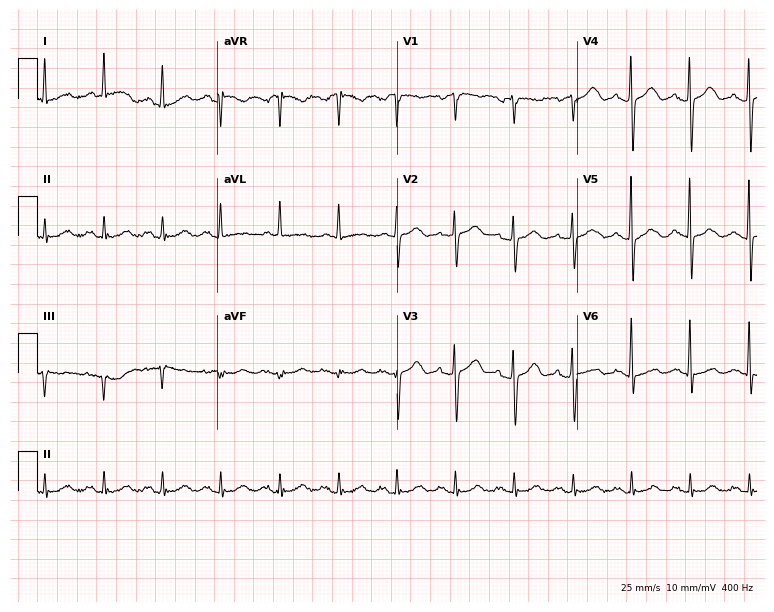
12-lead ECG (7.3-second recording at 400 Hz) from an 80-year-old female. Findings include sinus tachycardia (a sinus rate of 100 beats per minute or more).